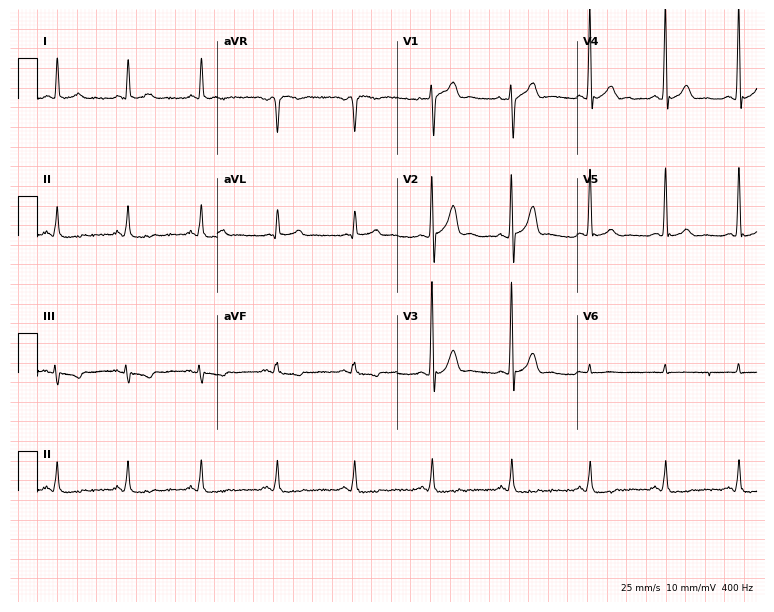
Standard 12-lead ECG recorded from a 57-year-old man (7.3-second recording at 400 Hz). None of these six findings is recorded: first-degree AV block, right bundle branch block, left bundle branch block, sinus bradycardia, atrial fibrillation, sinus tachycardia. Only these six findings were labelled.